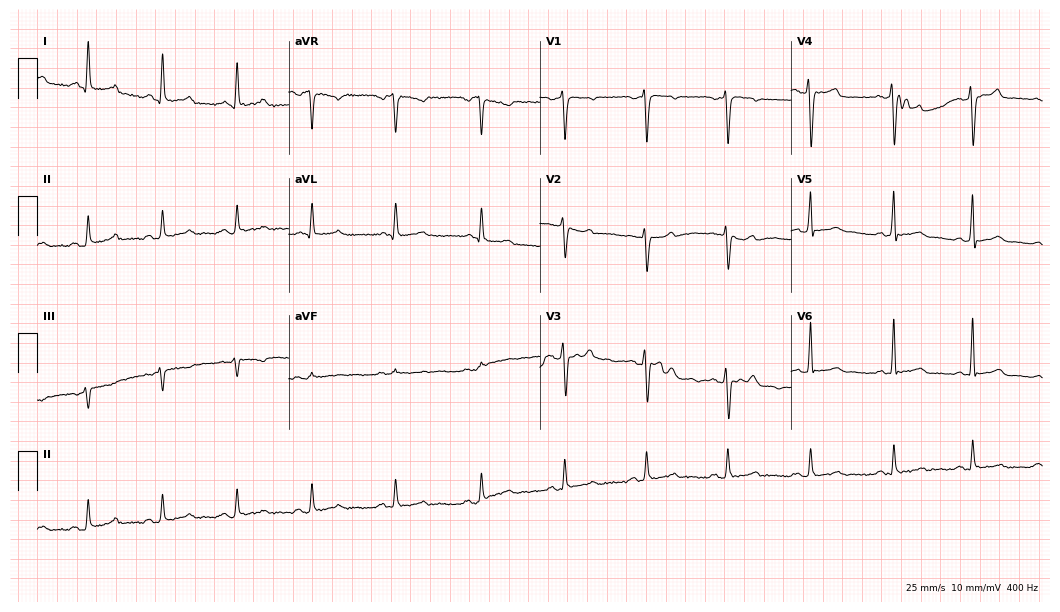
Standard 12-lead ECG recorded from a 29-year-old man. Read as a normal ECG.